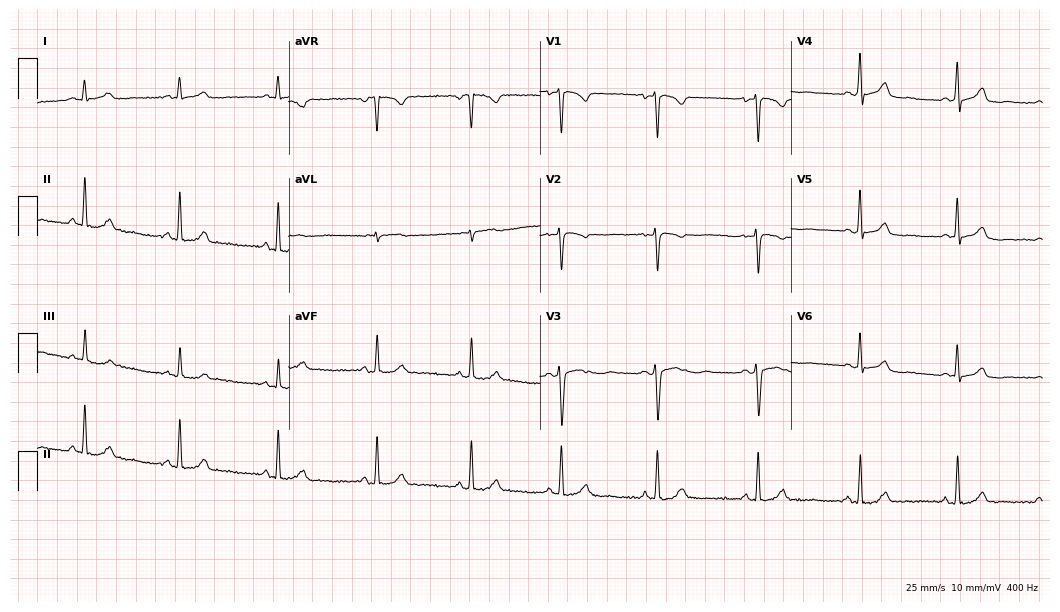
ECG — a female patient, 40 years old. Labelled as a normal ECG.